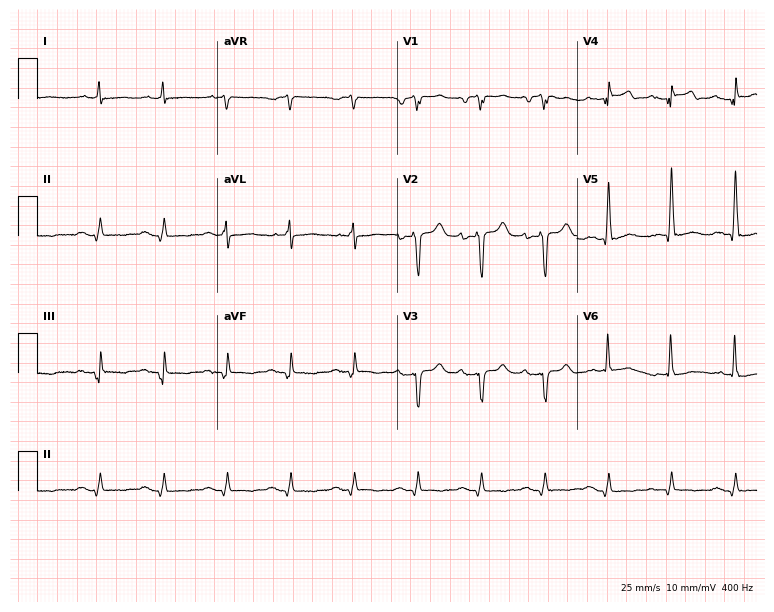
Standard 12-lead ECG recorded from an 84-year-old man. None of these six findings is recorded: first-degree AV block, right bundle branch block, left bundle branch block, sinus bradycardia, atrial fibrillation, sinus tachycardia. Other findings, if any, are not listed.